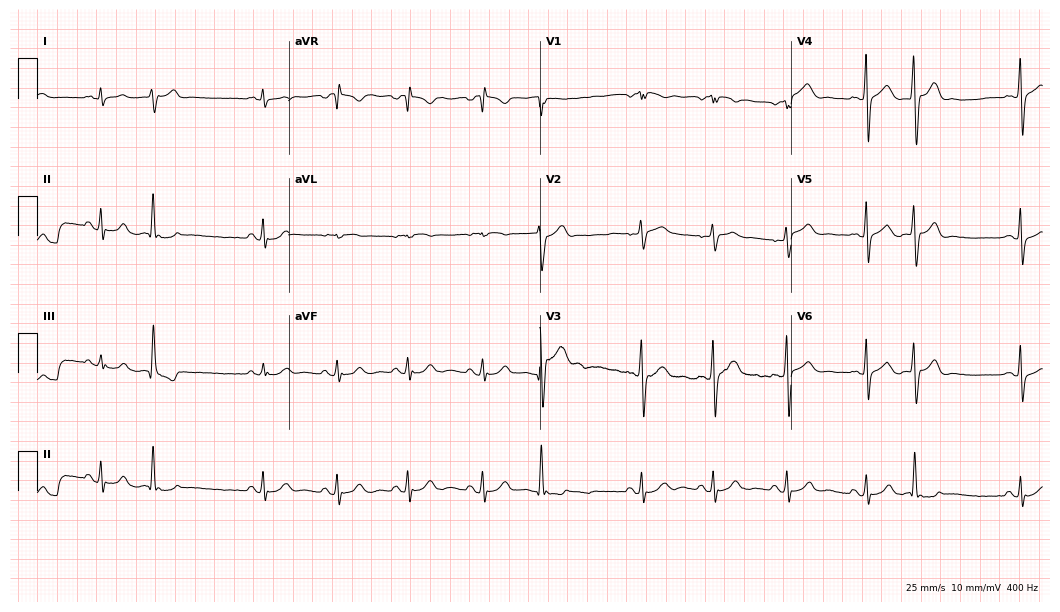
Standard 12-lead ECG recorded from a 28-year-old male. None of these six findings is recorded: first-degree AV block, right bundle branch block, left bundle branch block, sinus bradycardia, atrial fibrillation, sinus tachycardia. Only these six findings were labelled.